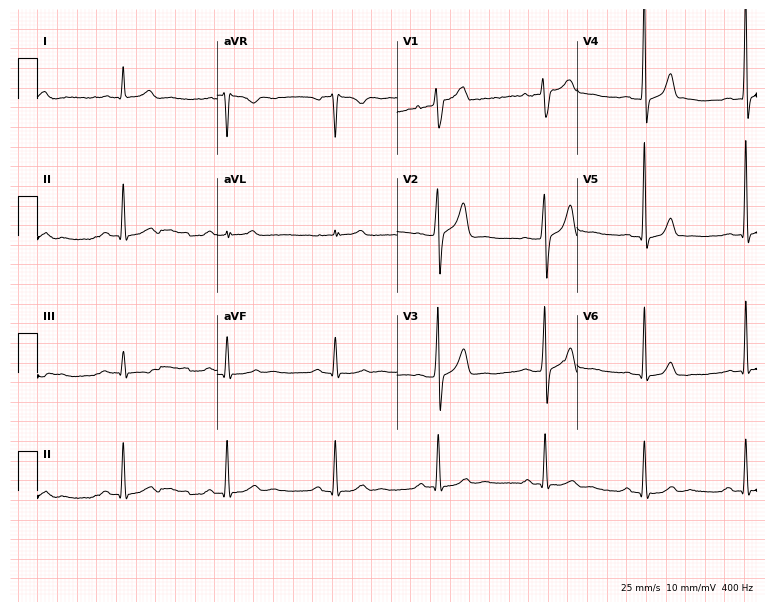
ECG (7.3-second recording at 400 Hz) — a 49-year-old male patient. Screened for six findings — first-degree AV block, right bundle branch block, left bundle branch block, sinus bradycardia, atrial fibrillation, sinus tachycardia — none is recorded.